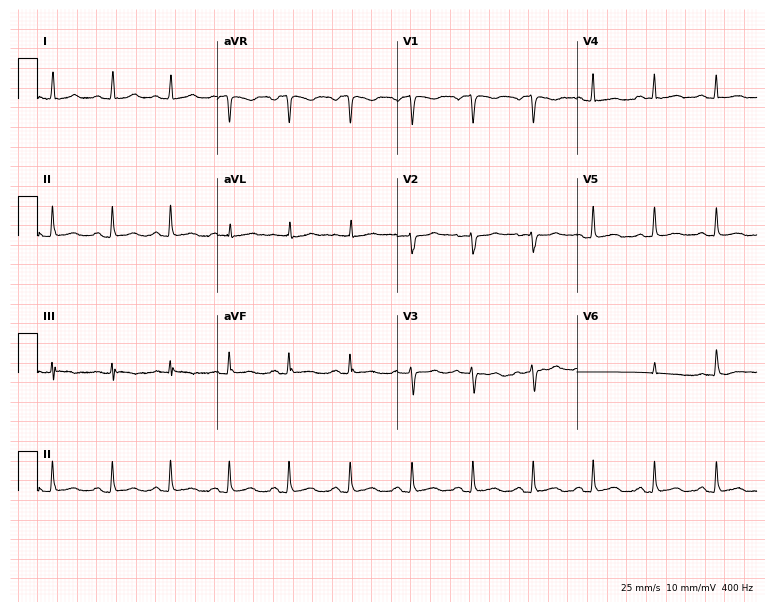
ECG — a 53-year-old female. Screened for six findings — first-degree AV block, right bundle branch block, left bundle branch block, sinus bradycardia, atrial fibrillation, sinus tachycardia — none is recorded.